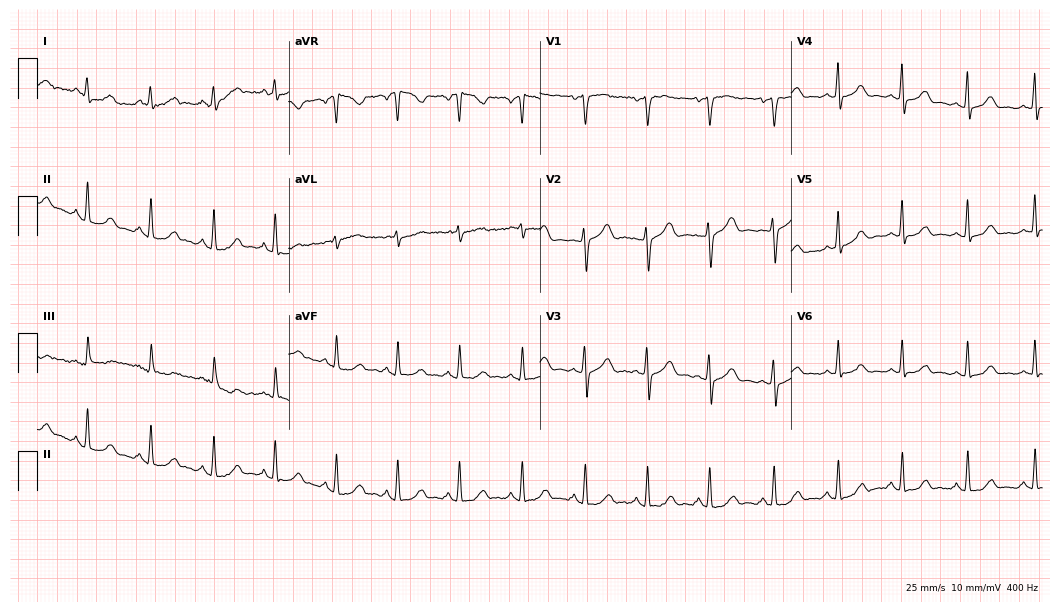
Resting 12-lead electrocardiogram. Patient: a woman, 29 years old. Read as a normal ECG.